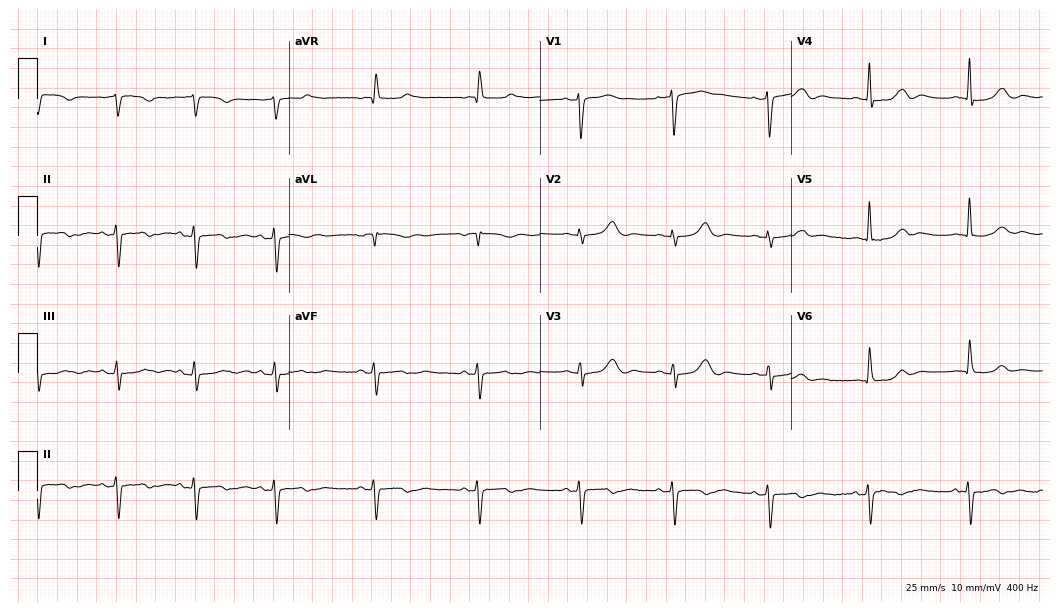
12-lead ECG from an 83-year-old woman. No first-degree AV block, right bundle branch block (RBBB), left bundle branch block (LBBB), sinus bradycardia, atrial fibrillation (AF) or sinus tachycardia recorded for this tracing. Findings outside these six are not listed.